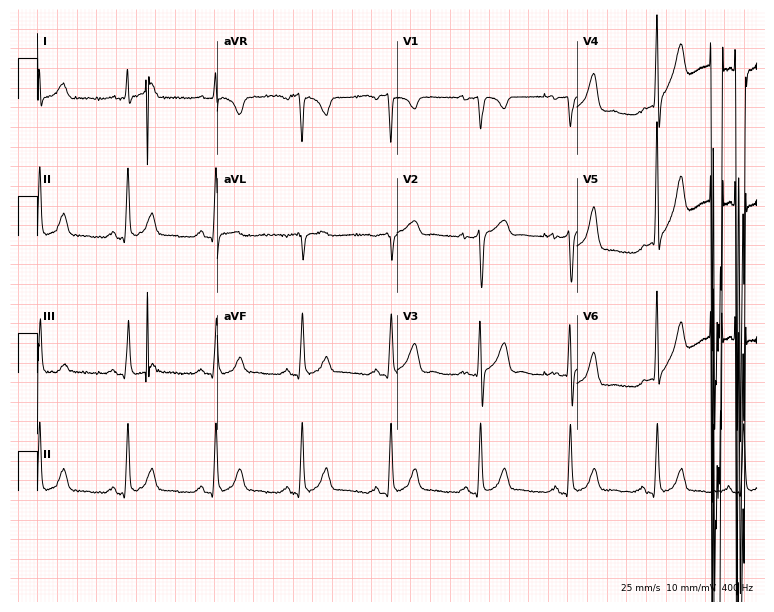
Electrocardiogram (7.3-second recording at 400 Hz), a 59-year-old male patient. Of the six screened findings (first-degree AV block, right bundle branch block (RBBB), left bundle branch block (LBBB), sinus bradycardia, atrial fibrillation (AF), sinus tachycardia), none is recorded.